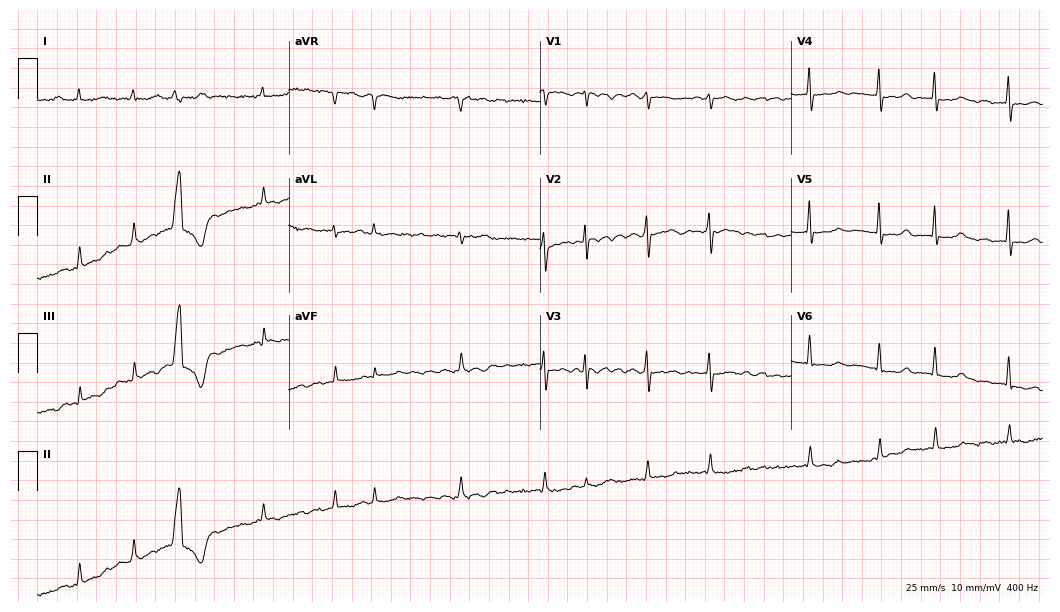
12-lead ECG from a female, 82 years old. Shows atrial fibrillation.